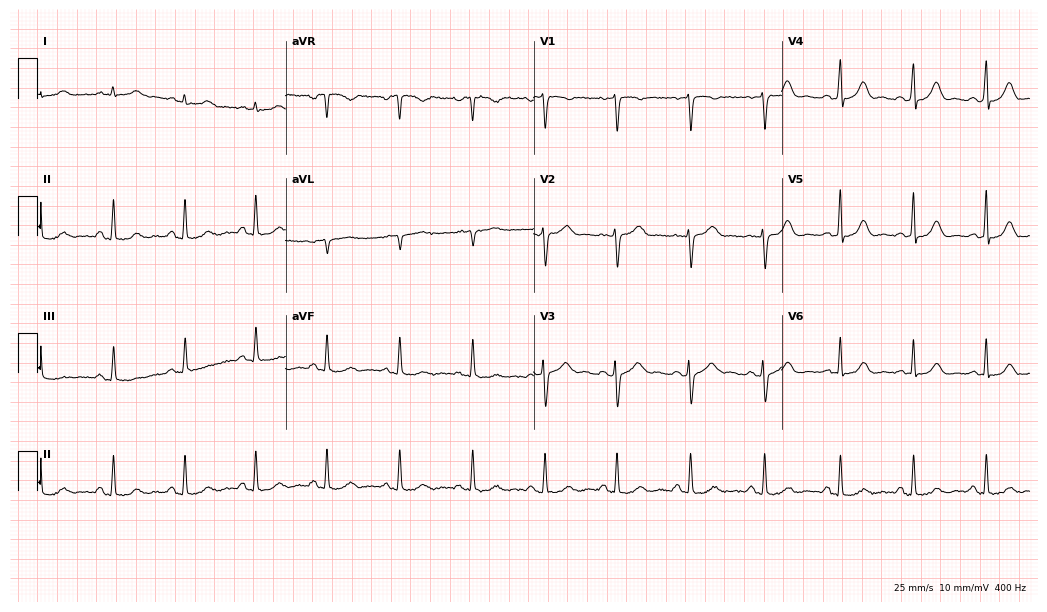
Resting 12-lead electrocardiogram. Patient: a 44-year-old female. Read as a normal ECG.